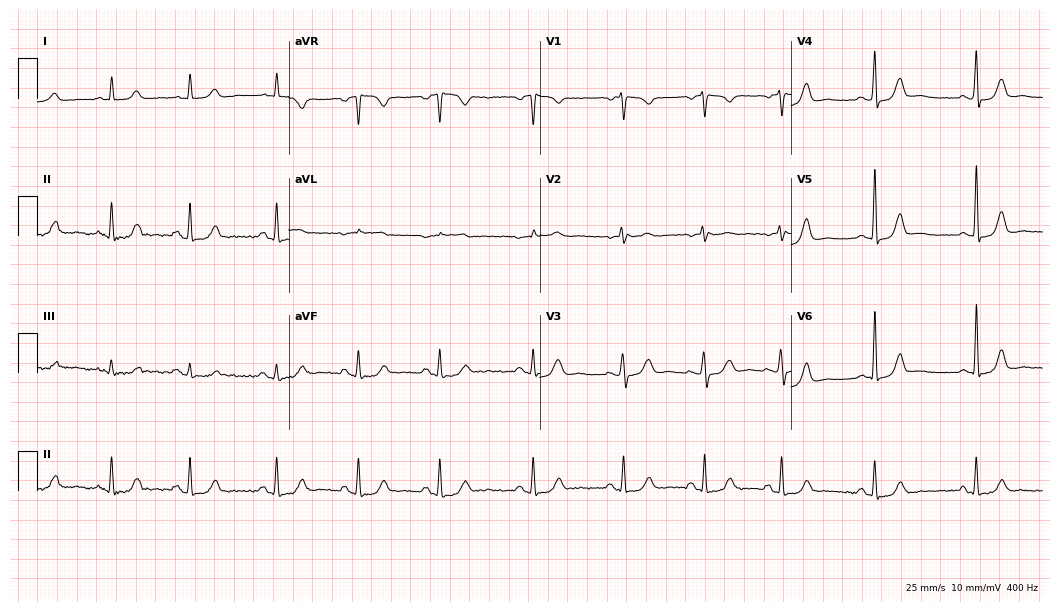
Electrocardiogram, a 47-year-old female. Overall reading on record: normal ECG.